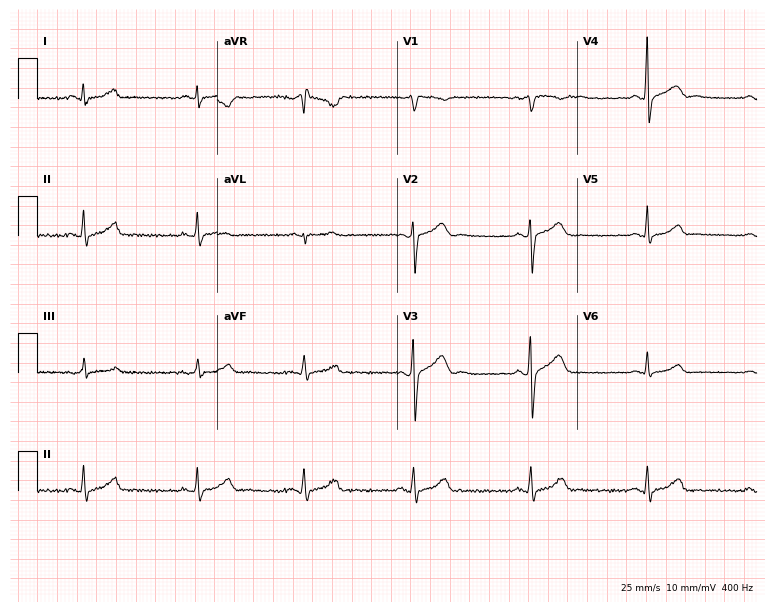
Electrocardiogram (7.3-second recording at 400 Hz), a 31-year-old man. Of the six screened findings (first-degree AV block, right bundle branch block, left bundle branch block, sinus bradycardia, atrial fibrillation, sinus tachycardia), none is recorded. Only these six findings were labelled.